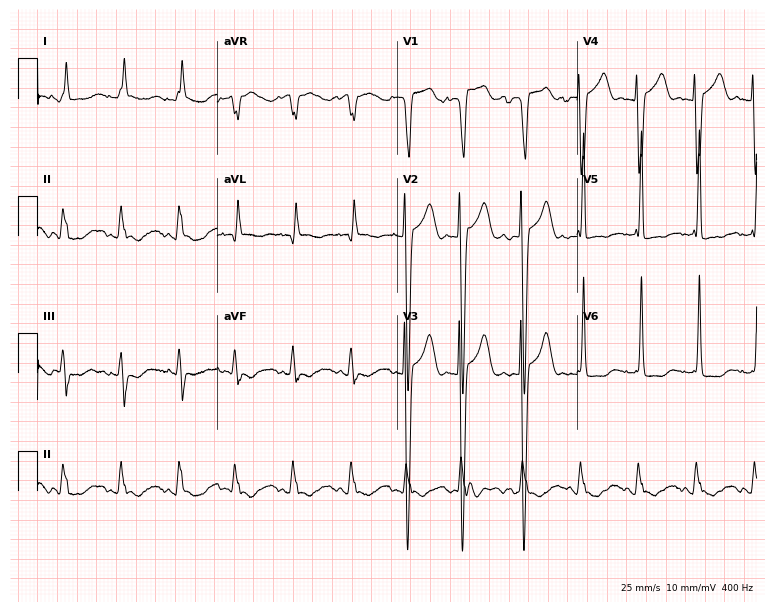
Electrocardiogram, an 83-year-old male patient. Interpretation includes sinus tachycardia (a sinus rate of 100 beats per minute or more).